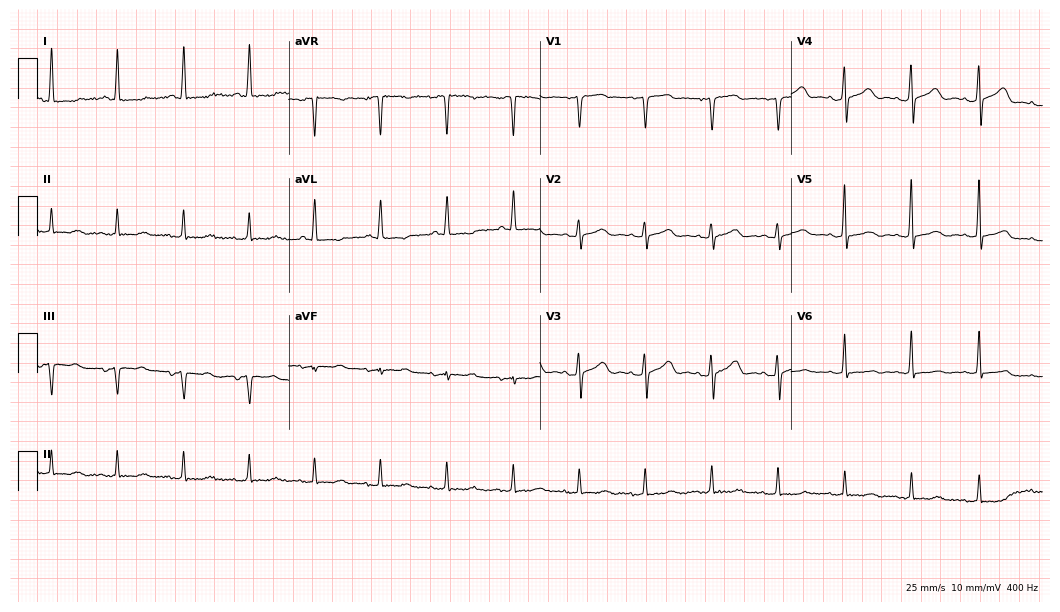
Standard 12-lead ECG recorded from a 62-year-old female. Read as a normal ECG.